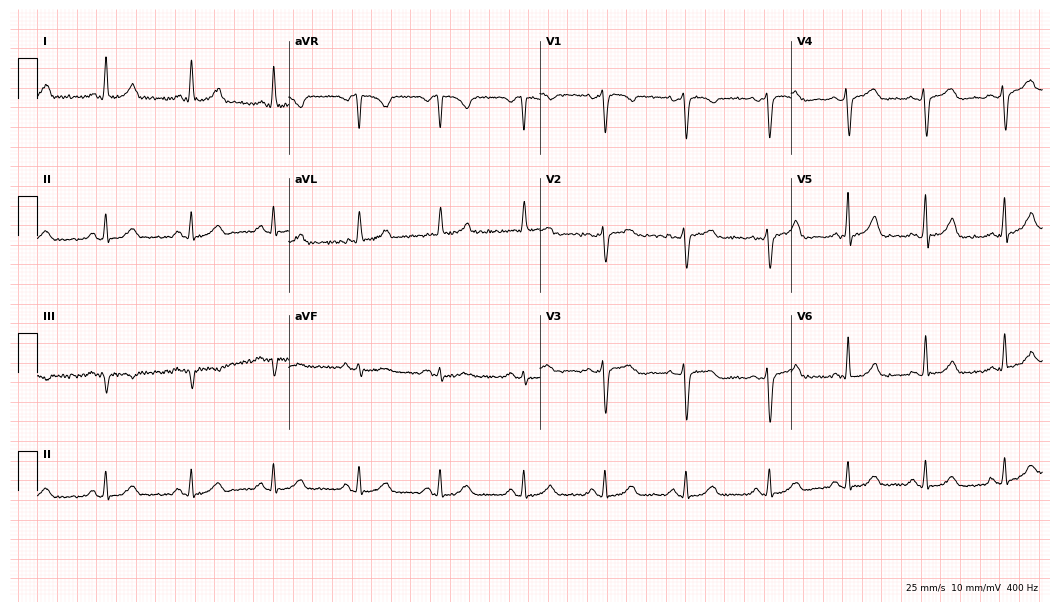
12-lead ECG from a female, 45 years old (10.2-second recording at 400 Hz). Recorded interpretation: within normal limits.